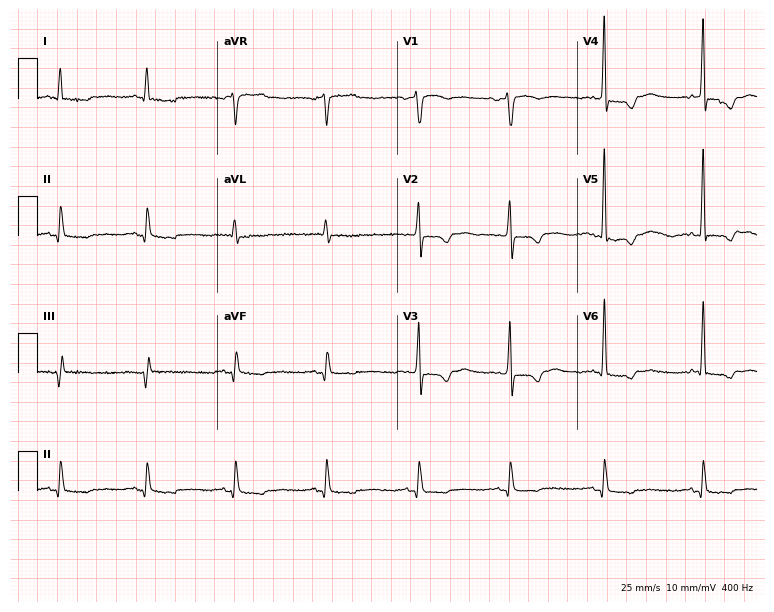
12-lead ECG from a 67-year-old male. No first-degree AV block, right bundle branch block (RBBB), left bundle branch block (LBBB), sinus bradycardia, atrial fibrillation (AF) or sinus tachycardia recorded for this tracing. Other findings, if any, are not listed.